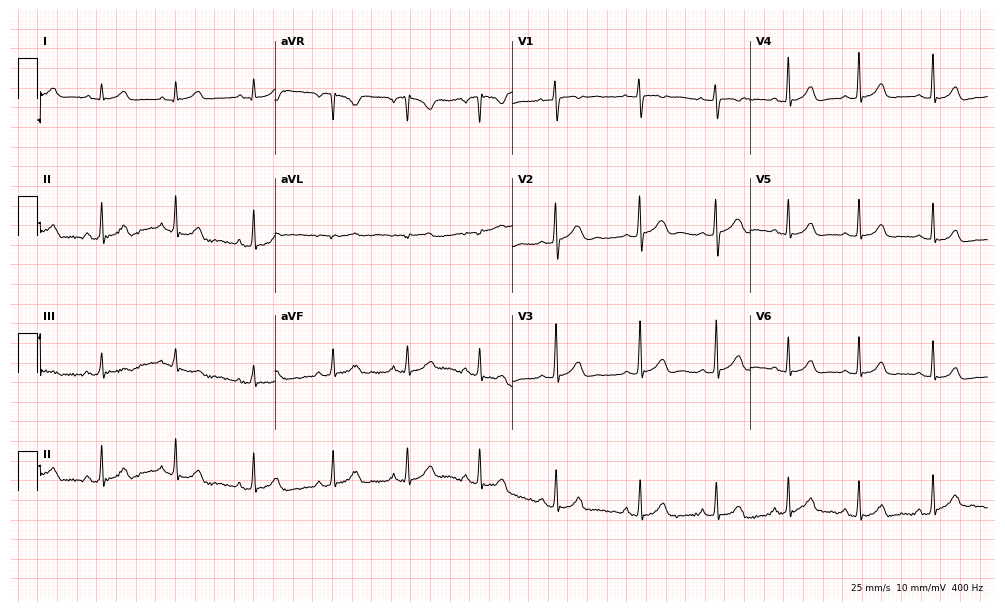
ECG — a female patient, 18 years old. Labelled as a normal ECG.